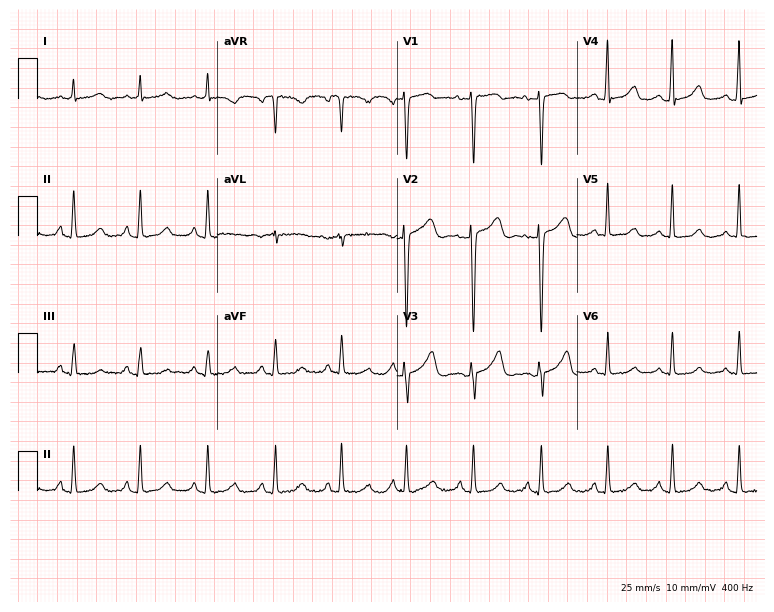
Electrocardiogram (7.3-second recording at 400 Hz), a 51-year-old female. Of the six screened findings (first-degree AV block, right bundle branch block, left bundle branch block, sinus bradycardia, atrial fibrillation, sinus tachycardia), none is recorded. Other findings, if any, are not listed.